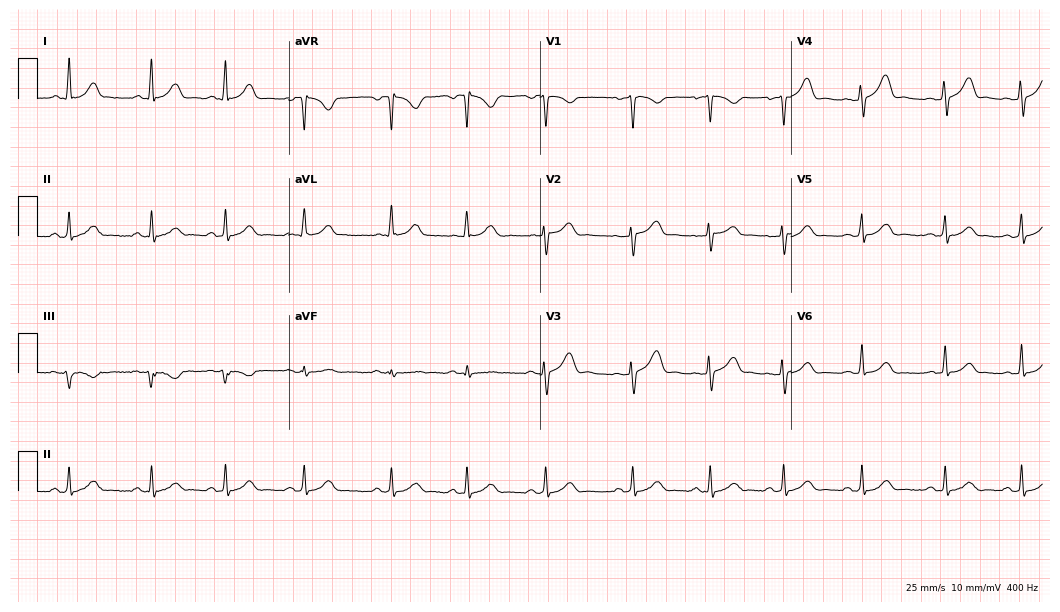
ECG — a 41-year-old female patient. Labelled as a normal ECG.